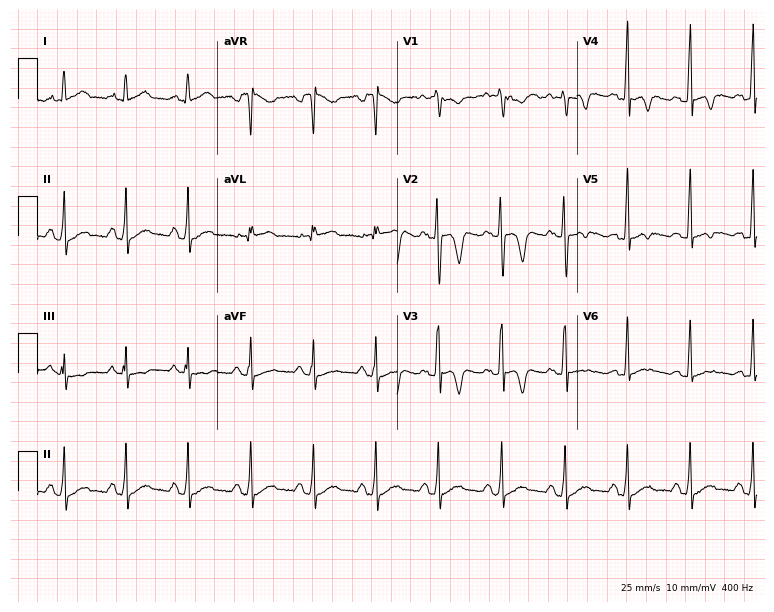
12-lead ECG (7.3-second recording at 400 Hz) from a 25-year-old man. Screened for six findings — first-degree AV block, right bundle branch block (RBBB), left bundle branch block (LBBB), sinus bradycardia, atrial fibrillation (AF), sinus tachycardia — none is recorded. Only these six findings were labelled.